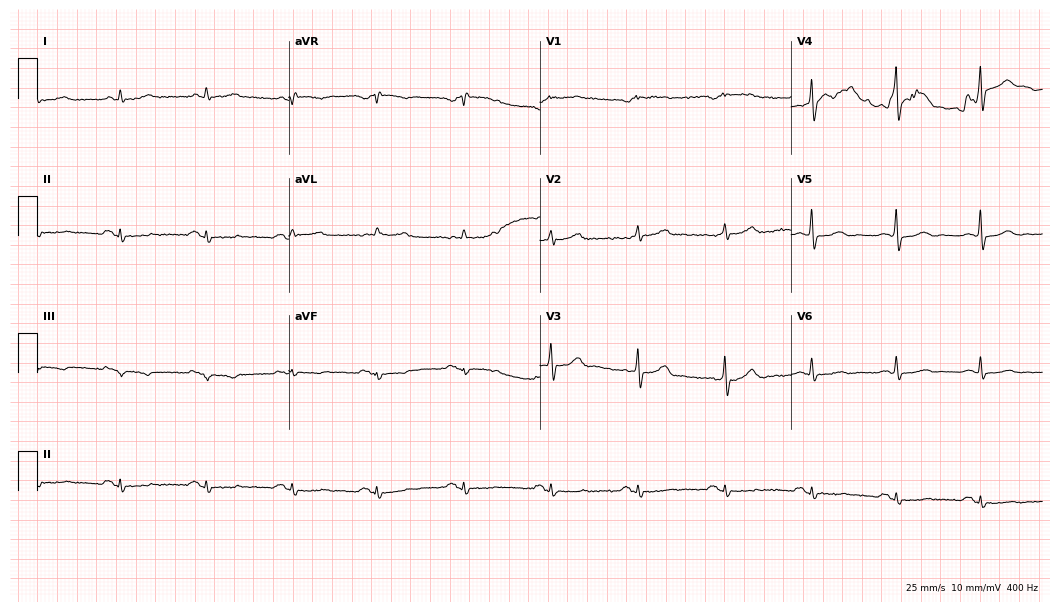
12-lead ECG from a 73-year-old male patient. Screened for six findings — first-degree AV block, right bundle branch block (RBBB), left bundle branch block (LBBB), sinus bradycardia, atrial fibrillation (AF), sinus tachycardia — none is recorded. Other findings, if any, are not listed.